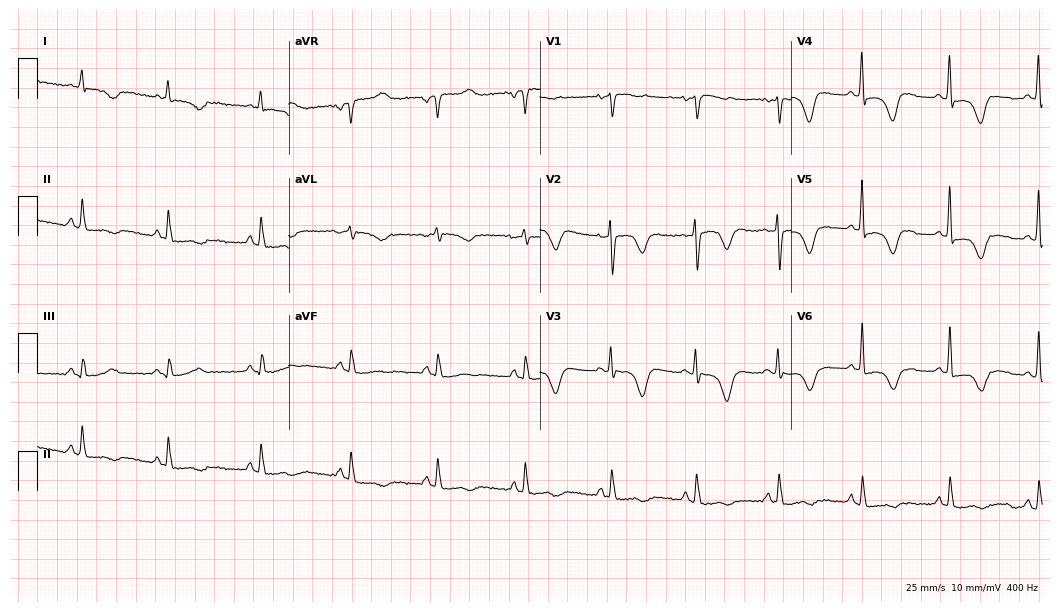
Electrocardiogram (10.2-second recording at 400 Hz), a 79-year-old female patient. Of the six screened findings (first-degree AV block, right bundle branch block (RBBB), left bundle branch block (LBBB), sinus bradycardia, atrial fibrillation (AF), sinus tachycardia), none is recorded.